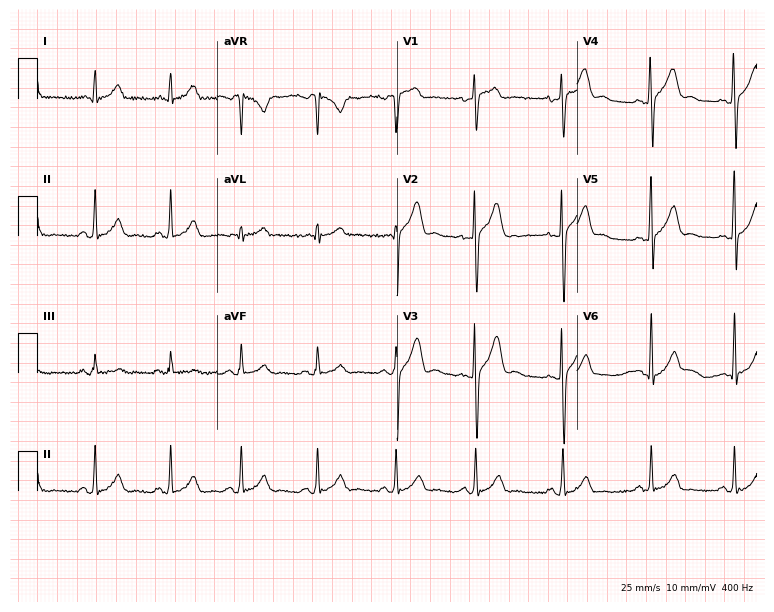
Resting 12-lead electrocardiogram (7.3-second recording at 400 Hz). Patient: a 33-year-old man. None of these six findings is recorded: first-degree AV block, right bundle branch block, left bundle branch block, sinus bradycardia, atrial fibrillation, sinus tachycardia. Only these six findings were labelled.